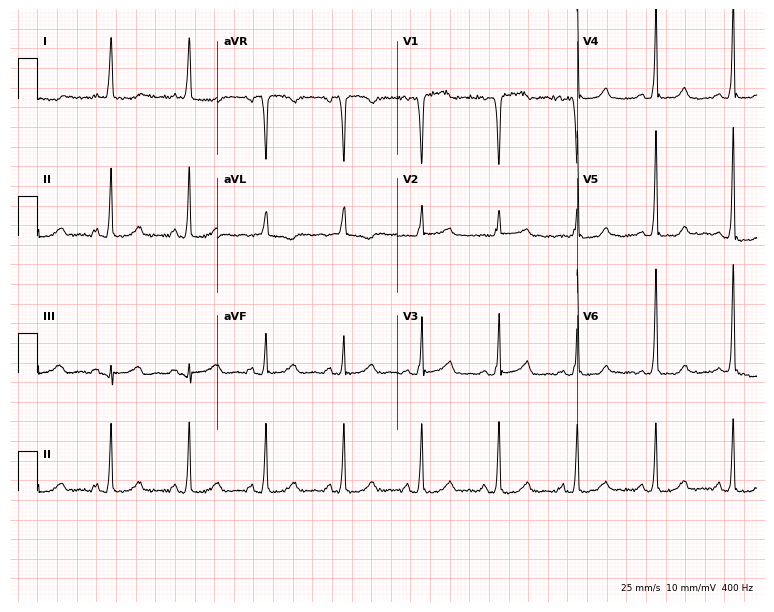
12-lead ECG from a 72-year-old female. No first-degree AV block, right bundle branch block, left bundle branch block, sinus bradycardia, atrial fibrillation or sinus tachycardia recorded for this tracing.